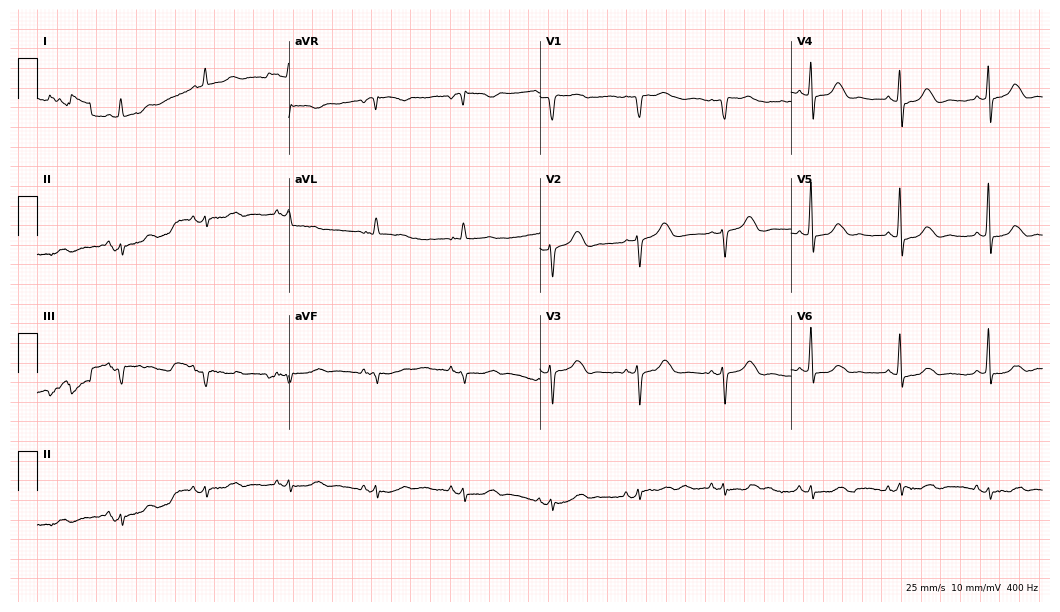
Standard 12-lead ECG recorded from a 73-year-old woman. None of these six findings is recorded: first-degree AV block, right bundle branch block (RBBB), left bundle branch block (LBBB), sinus bradycardia, atrial fibrillation (AF), sinus tachycardia. Findings outside these six are not listed.